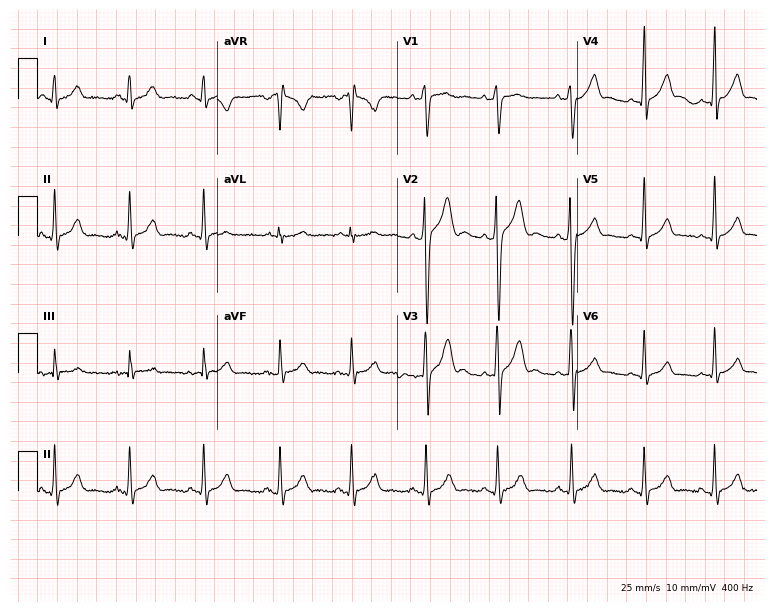
Resting 12-lead electrocardiogram (7.3-second recording at 400 Hz). Patient: a male, 18 years old. Read as a normal ECG.